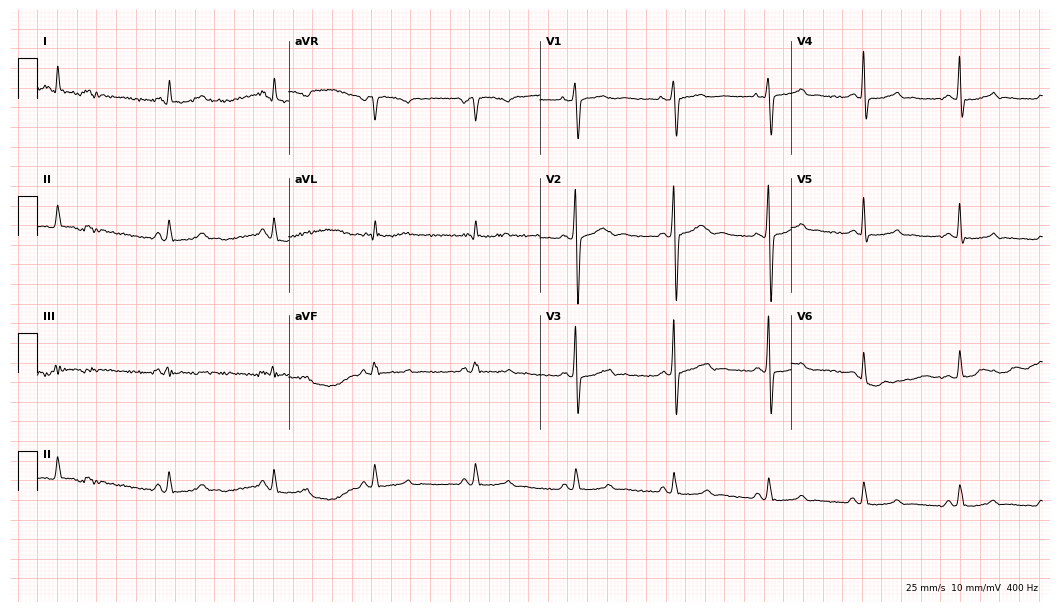
12-lead ECG from a 61-year-old man. Recorded interpretation: within normal limits.